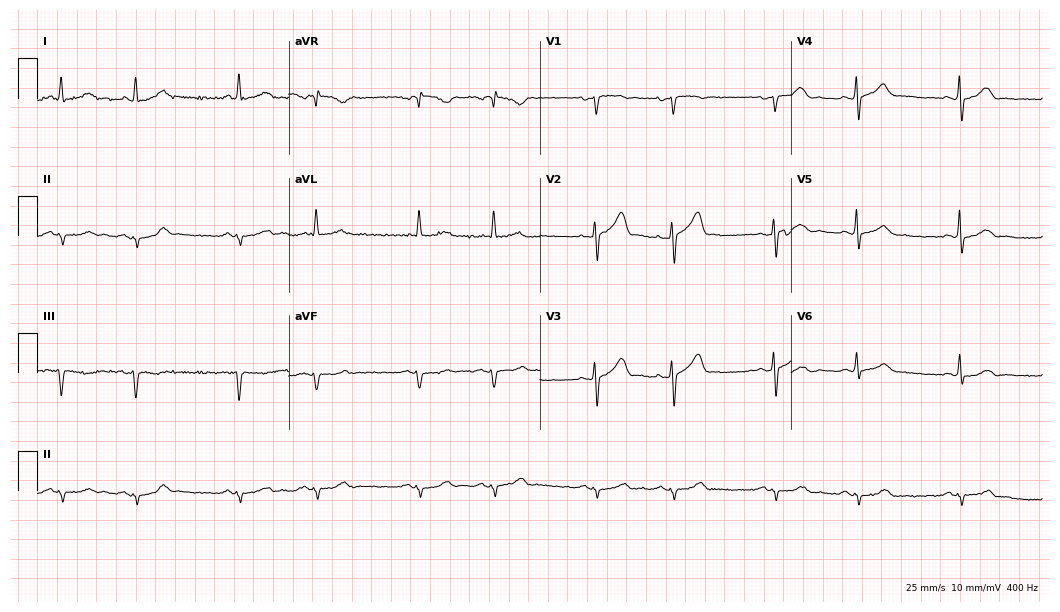
Electrocardiogram (10.2-second recording at 400 Hz), a man, 66 years old. Of the six screened findings (first-degree AV block, right bundle branch block (RBBB), left bundle branch block (LBBB), sinus bradycardia, atrial fibrillation (AF), sinus tachycardia), none is recorded. Only these six findings were labelled.